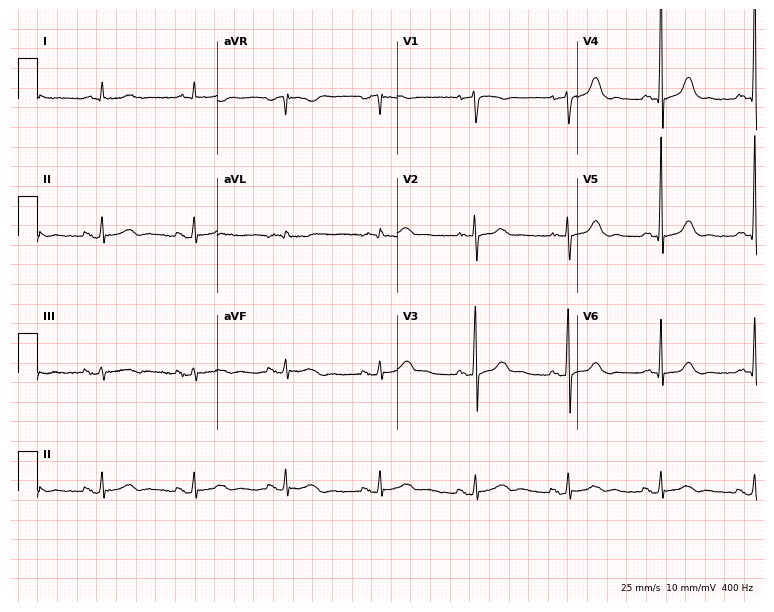
Standard 12-lead ECG recorded from a 58-year-old male patient. Read as a normal ECG.